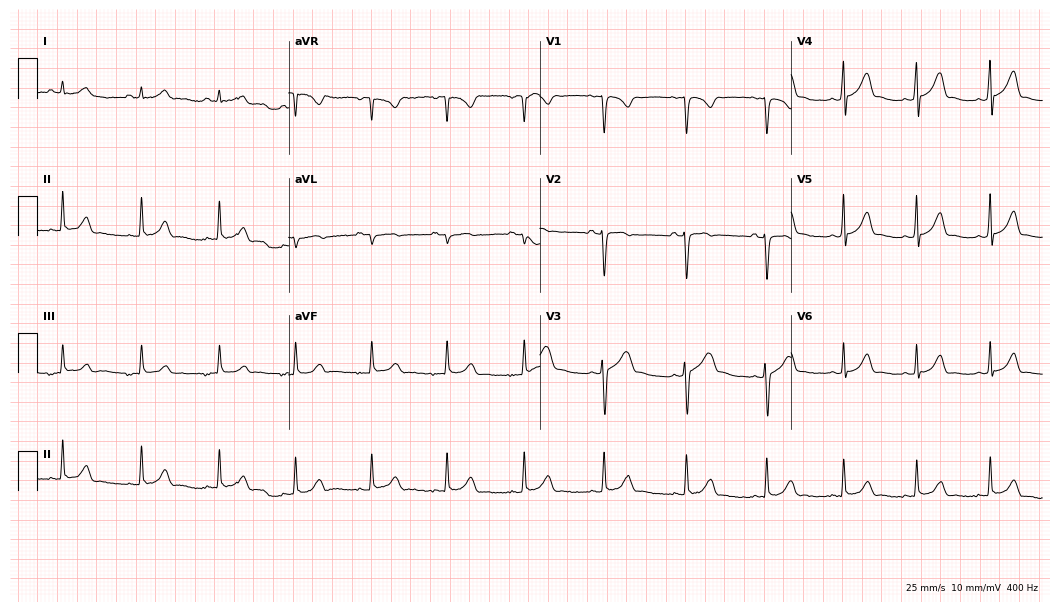
12-lead ECG from a 19-year-old woman (10.2-second recording at 400 Hz). Recorded interpretation: within normal limits.